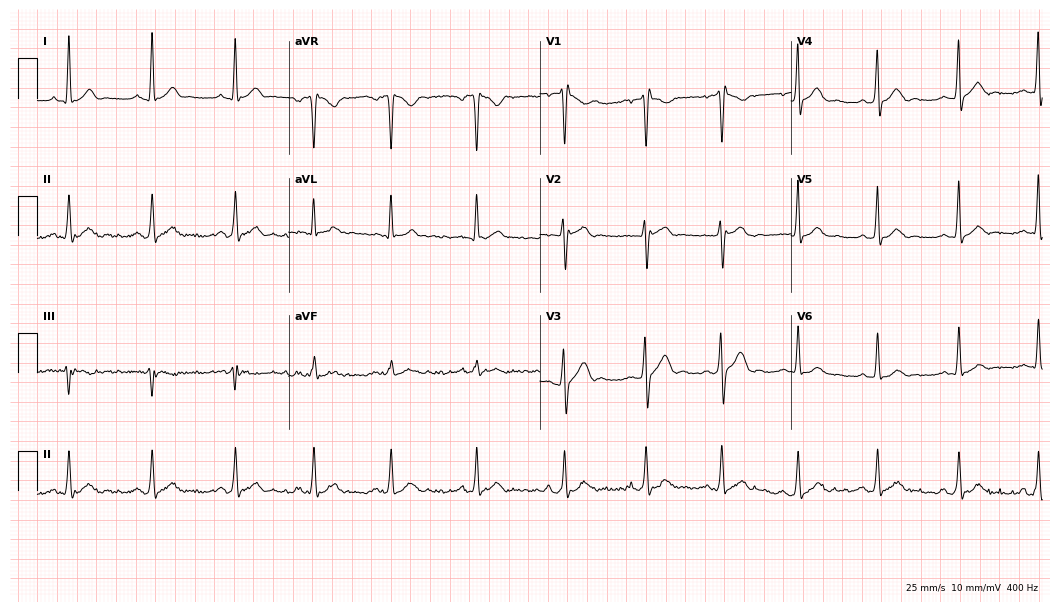
12-lead ECG from a man, 31 years old (10.2-second recording at 400 Hz). Recorded interpretation: within normal limits.